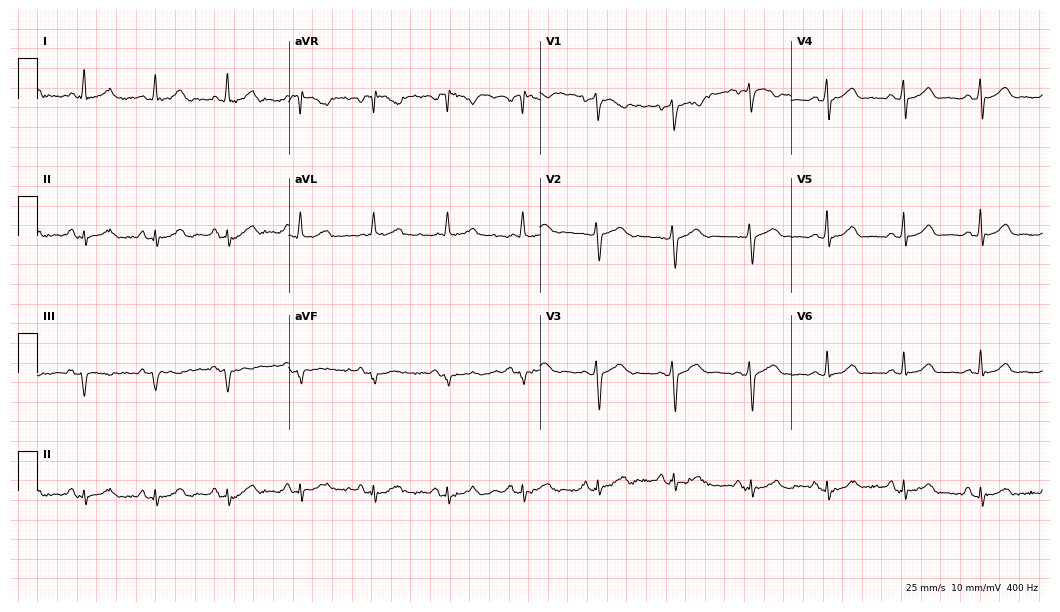
12-lead ECG (10.2-second recording at 400 Hz) from a woman, 64 years old. Labelled as a normal ECG.